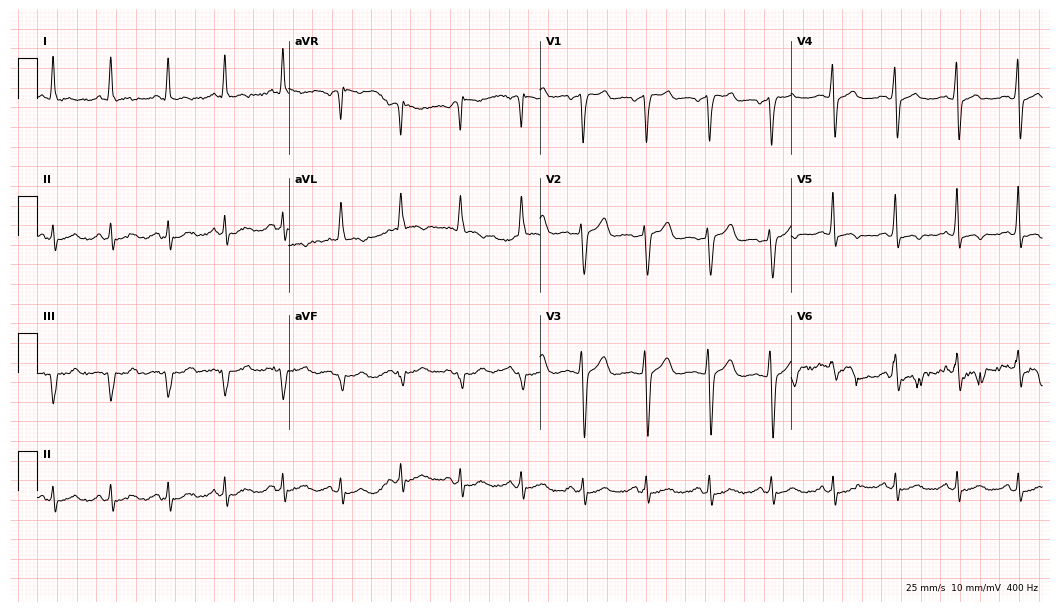
12-lead ECG (10.2-second recording at 400 Hz) from a male patient, 58 years old. Screened for six findings — first-degree AV block, right bundle branch block, left bundle branch block, sinus bradycardia, atrial fibrillation, sinus tachycardia — none is recorded. Only these six findings were labelled.